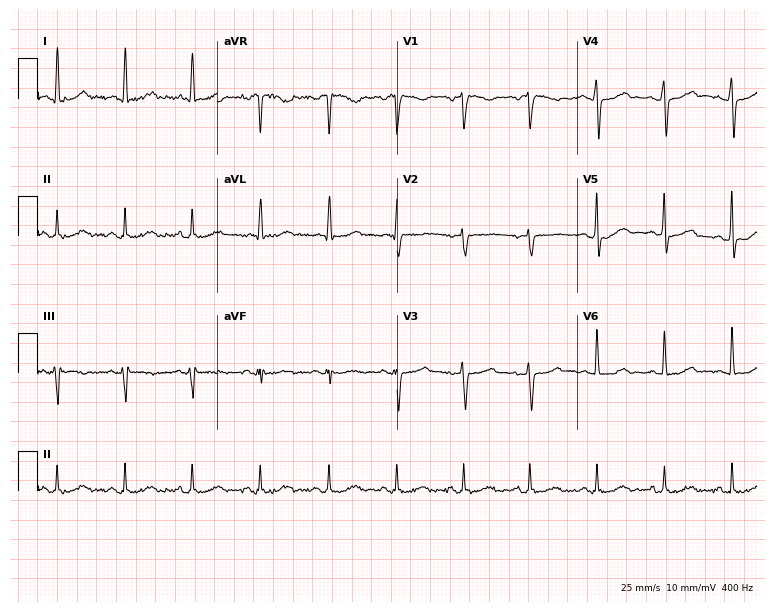
Standard 12-lead ECG recorded from a 44-year-old female patient. Read as a normal ECG.